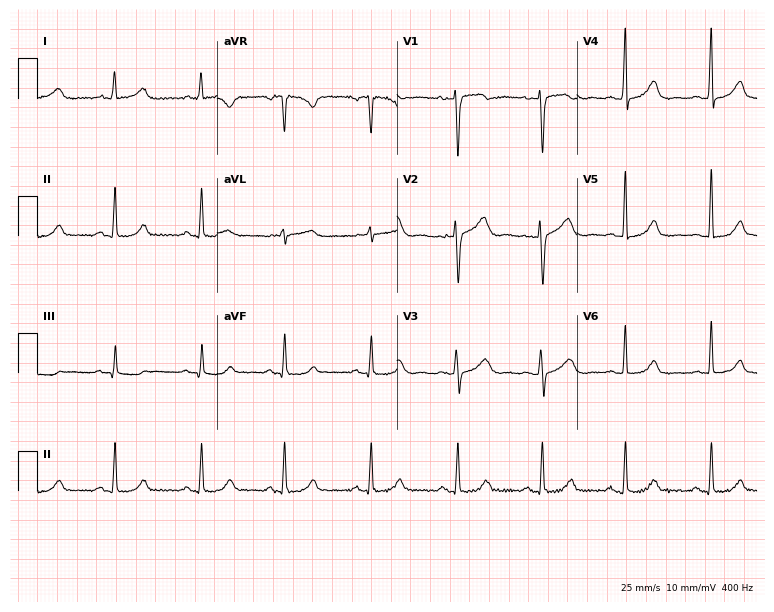
ECG — a 54-year-old woman. Labelled as a normal ECG.